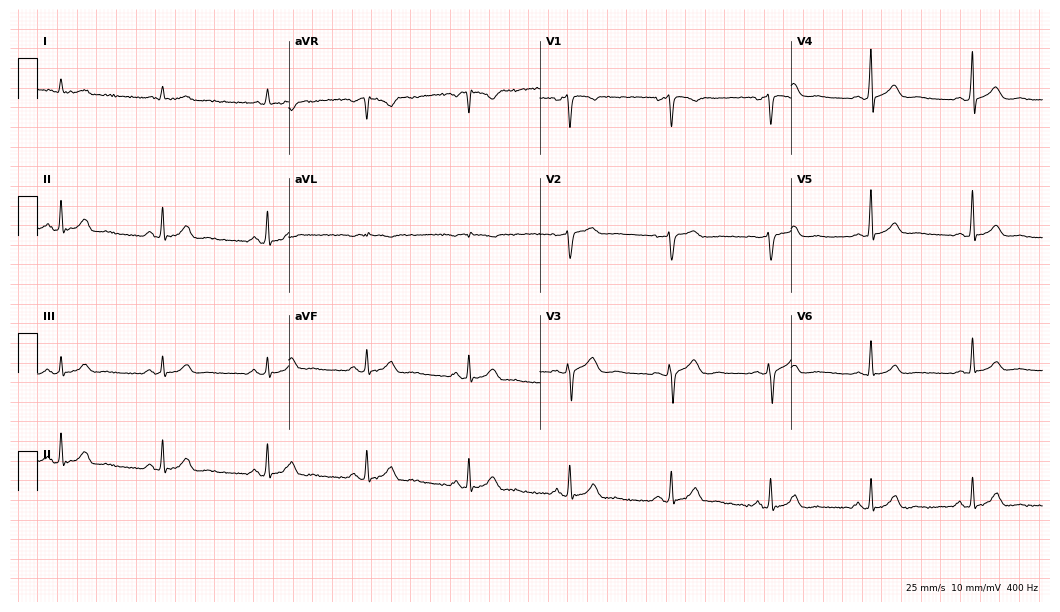
ECG (10.2-second recording at 400 Hz) — a male, 68 years old. Screened for six findings — first-degree AV block, right bundle branch block, left bundle branch block, sinus bradycardia, atrial fibrillation, sinus tachycardia — none is recorded.